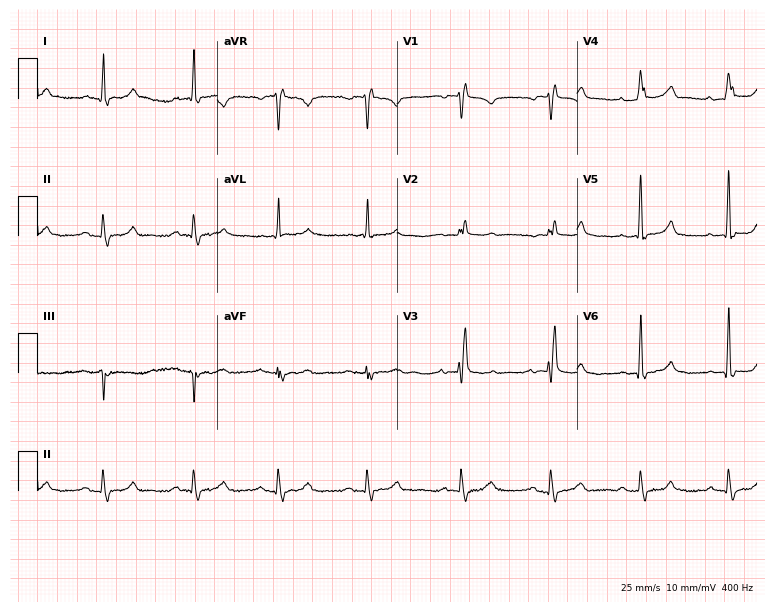
12-lead ECG from a 72-year-old woman. Screened for six findings — first-degree AV block, right bundle branch block (RBBB), left bundle branch block (LBBB), sinus bradycardia, atrial fibrillation (AF), sinus tachycardia — none is recorded.